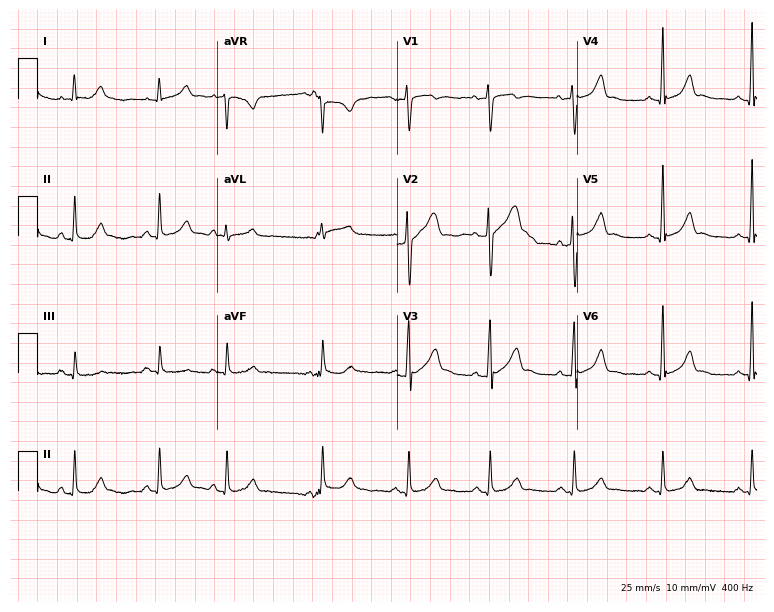
Resting 12-lead electrocardiogram. Patient: a 38-year-old male. None of these six findings is recorded: first-degree AV block, right bundle branch block, left bundle branch block, sinus bradycardia, atrial fibrillation, sinus tachycardia.